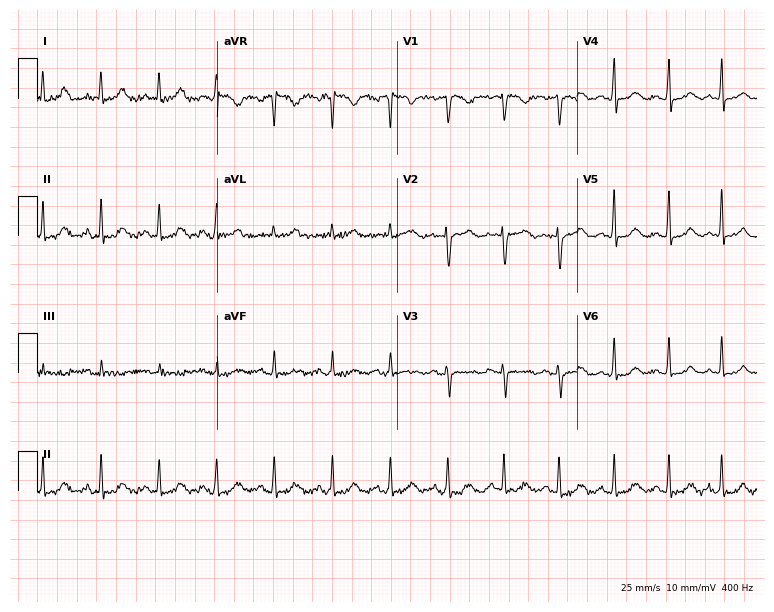
Resting 12-lead electrocardiogram. Patient: a female, 47 years old. The tracing shows sinus tachycardia (a sinus rate of 100 beats per minute or more).